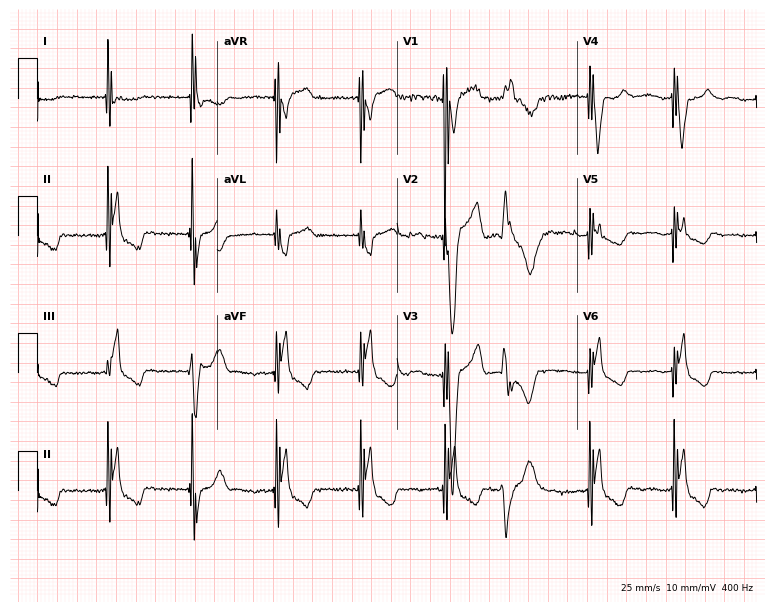
ECG (7.3-second recording at 400 Hz) — a male patient, 76 years old. Screened for six findings — first-degree AV block, right bundle branch block (RBBB), left bundle branch block (LBBB), sinus bradycardia, atrial fibrillation (AF), sinus tachycardia — none is recorded. Other findings, if any, are not listed.